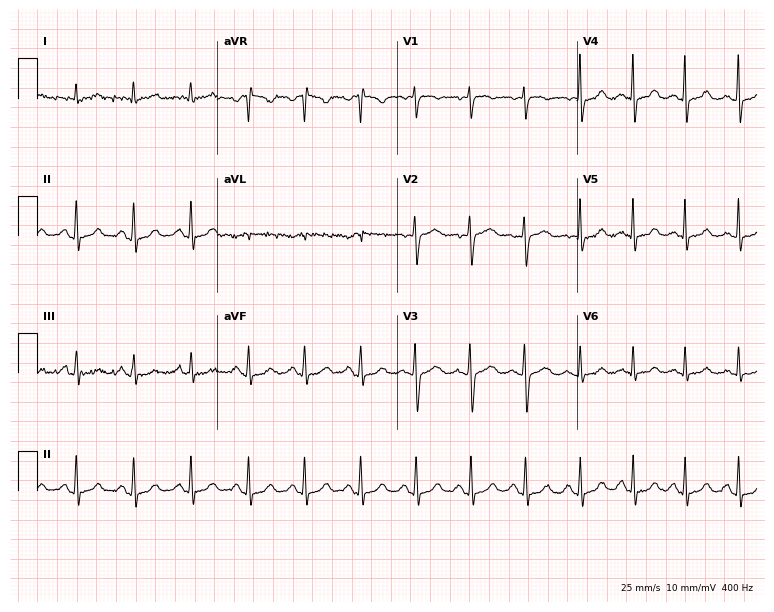
ECG (7.3-second recording at 400 Hz) — a female patient, 41 years old. Findings include sinus tachycardia (a sinus rate of 100 beats per minute or more).